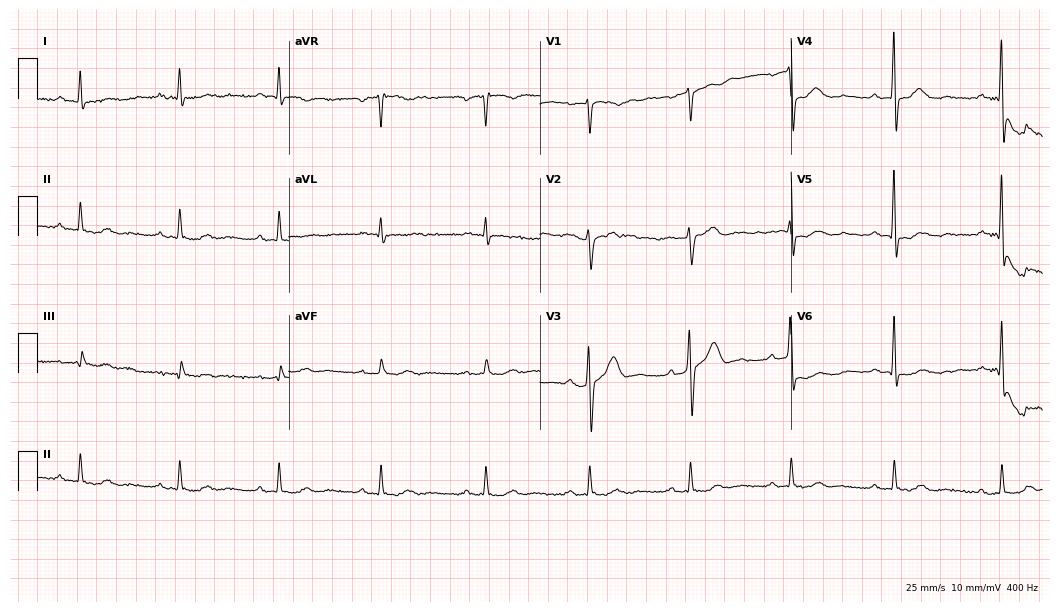
Standard 12-lead ECG recorded from a male patient, 57 years old. The tracing shows first-degree AV block.